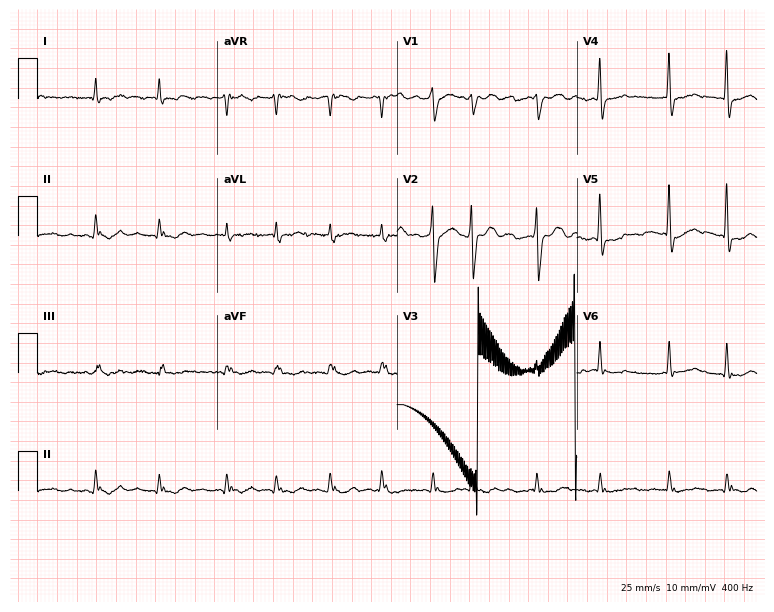
12-lead ECG from an 82-year-old female patient (7.3-second recording at 400 Hz). Shows atrial fibrillation.